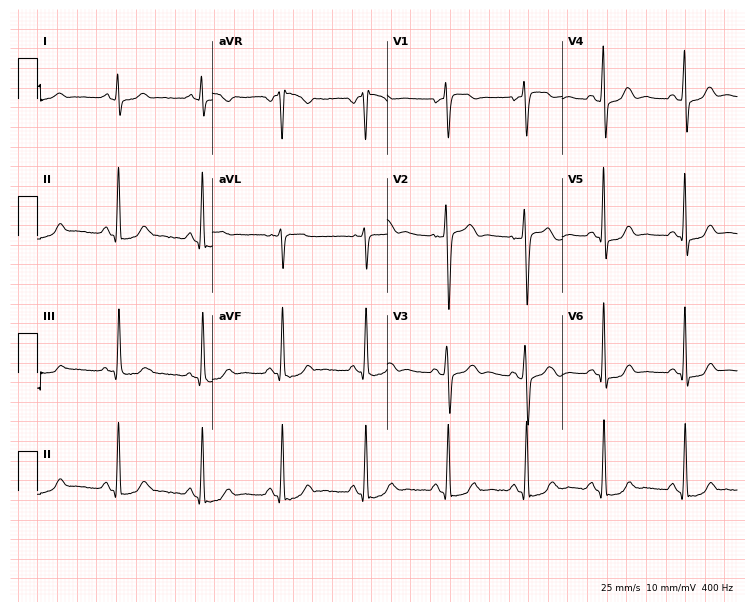
12-lead ECG (7.1-second recording at 400 Hz) from a 40-year-old female. Labelled as a normal ECG.